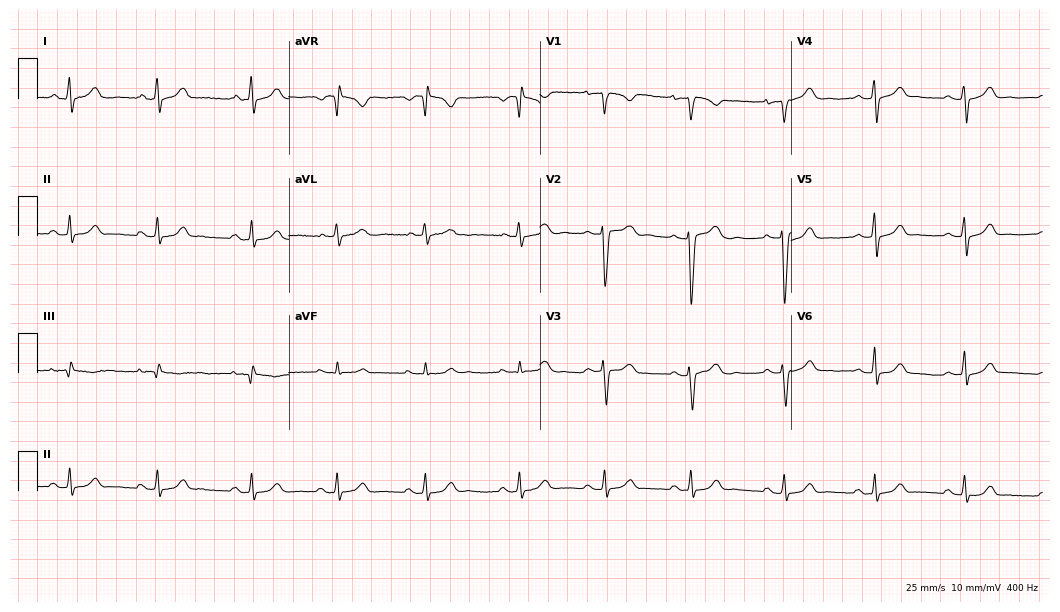
Resting 12-lead electrocardiogram (10.2-second recording at 400 Hz). Patient: a 23-year-old woman. Read as a normal ECG.